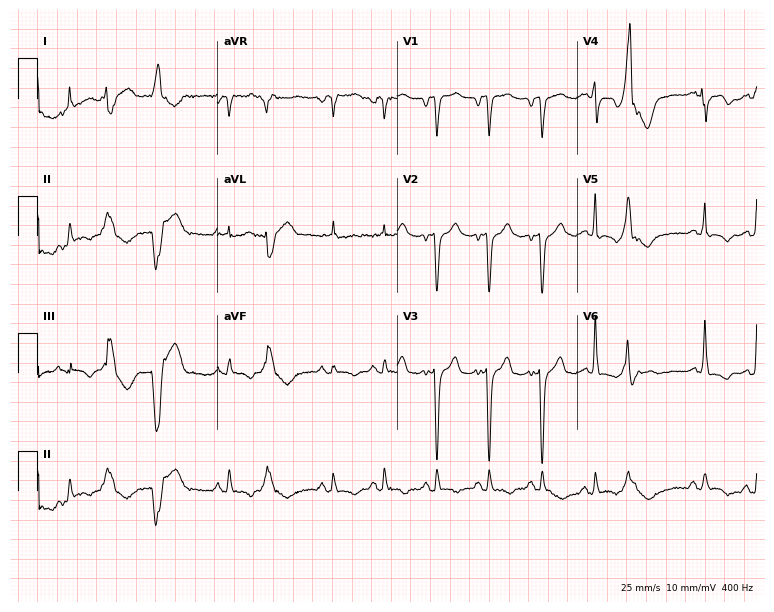
ECG — a man, 80 years old. Findings include sinus tachycardia (a sinus rate of 100 beats per minute or more).